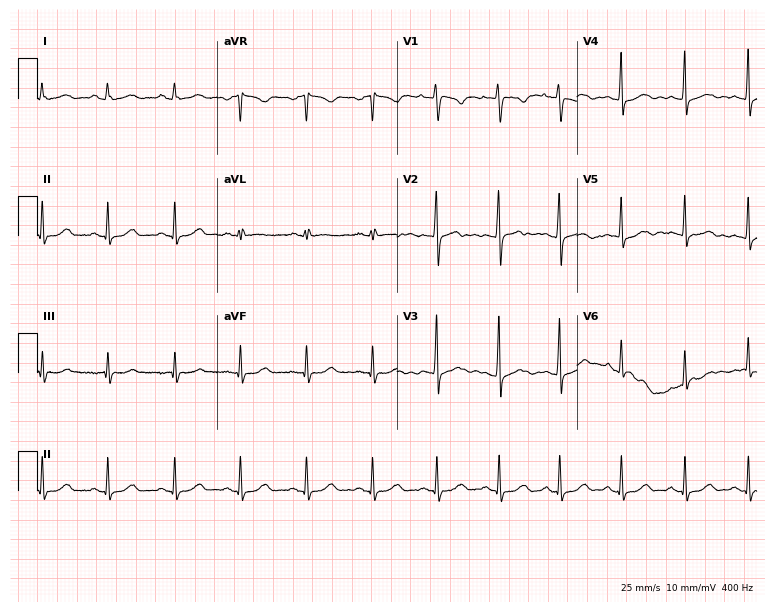
Standard 12-lead ECG recorded from a 19-year-old female patient. Read as a normal ECG.